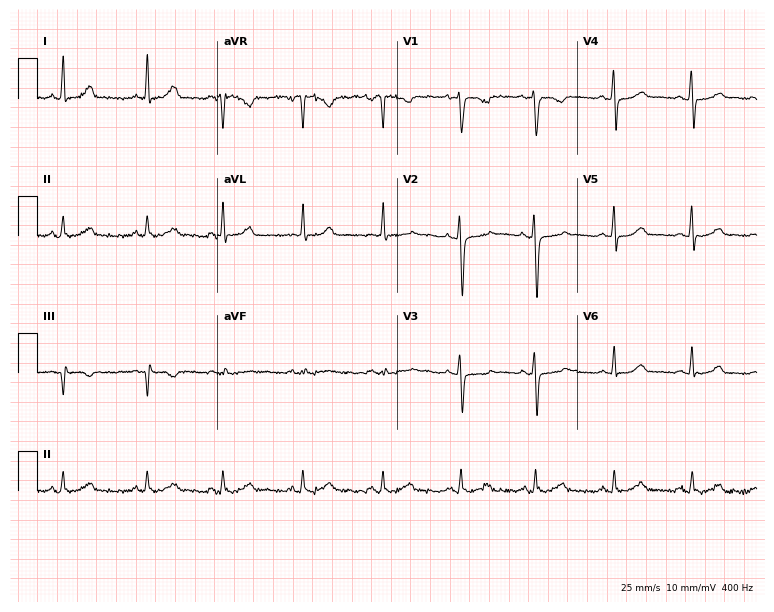
ECG (7.3-second recording at 400 Hz) — a woman, 30 years old. Labelled as a normal ECG.